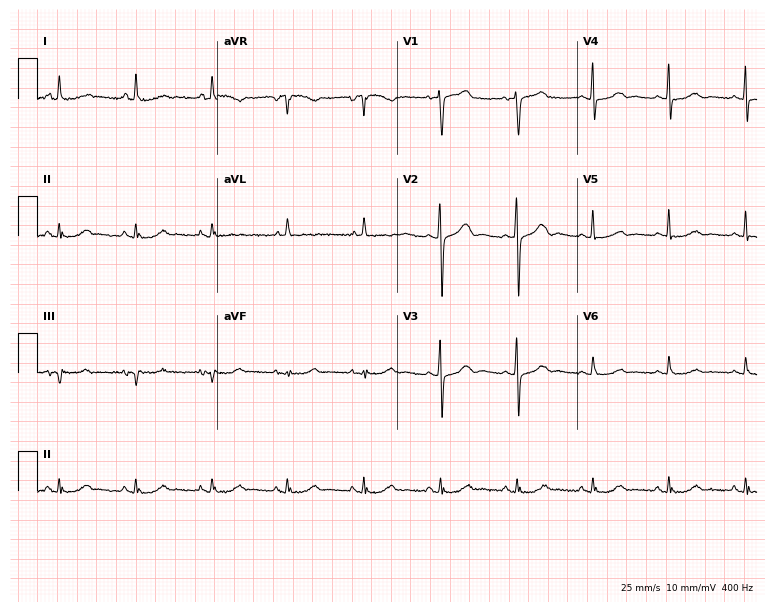
Resting 12-lead electrocardiogram. Patient: a female, 82 years old. Read as a normal ECG.